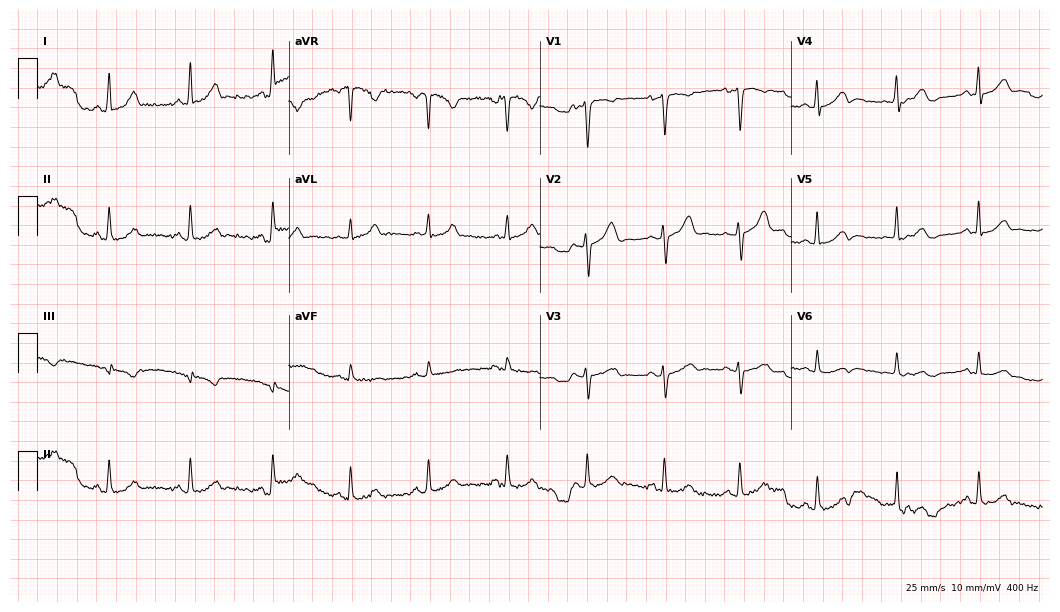
Standard 12-lead ECG recorded from a female patient, 28 years old. Read as a normal ECG.